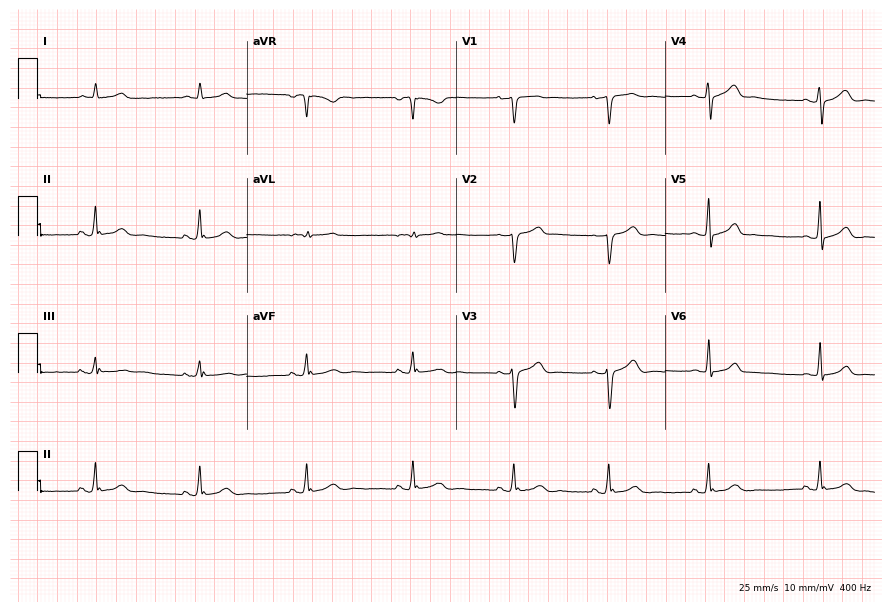
Resting 12-lead electrocardiogram (8.5-second recording at 400 Hz). Patient: a 52-year-old male. None of these six findings is recorded: first-degree AV block, right bundle branch block (RBBB), left bundle branch block (LBBB), sinus bradycardia, atrial fibrillation (AF), sinus tachycardia. Findings outside these six are not listed.